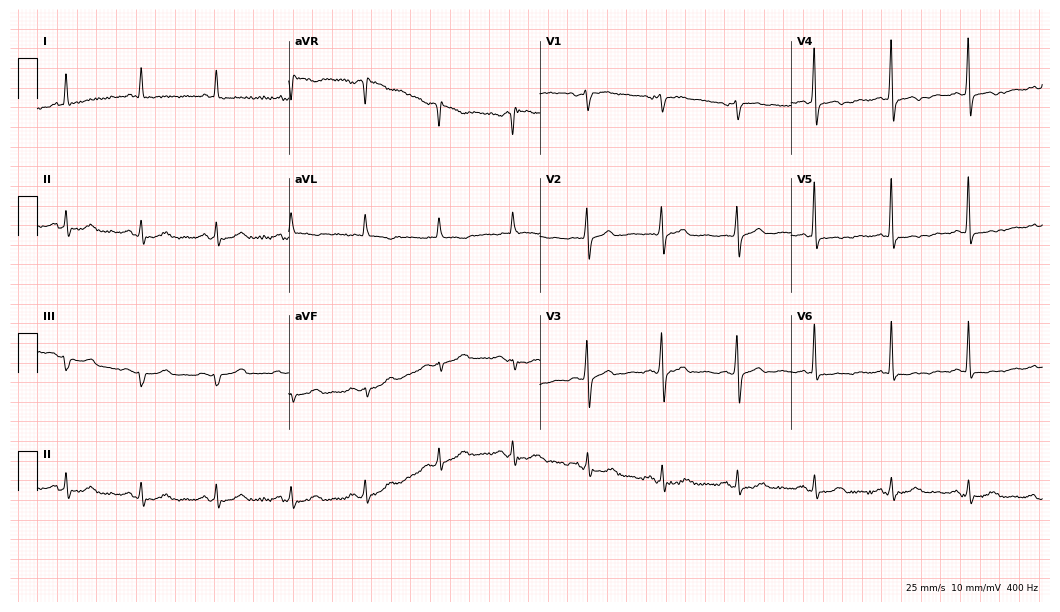
Standard 12-lead ECG recorded from a female patient, 65 years old. None of these six findings is recorded: first-degree AV block, right bundle branch block (RBBB), left bundle branch block (LBBB), sinus bradycardia, atrial fibrillation (AF), sinus tachycardia. Findings outside these six are not listed.